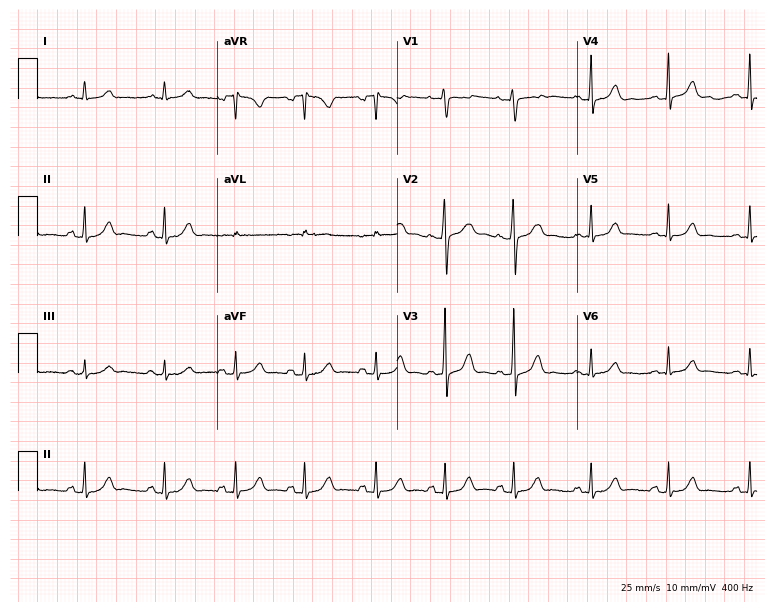
12-lead ECG from a 21-year-old woman. Screened for six findings — first-degree AV block, right bundle branch block, left bundle branch block, sinus bradycardia, atrial fibrillation, sinus tachycardia — none is recorded. Only these six findings were labelled.